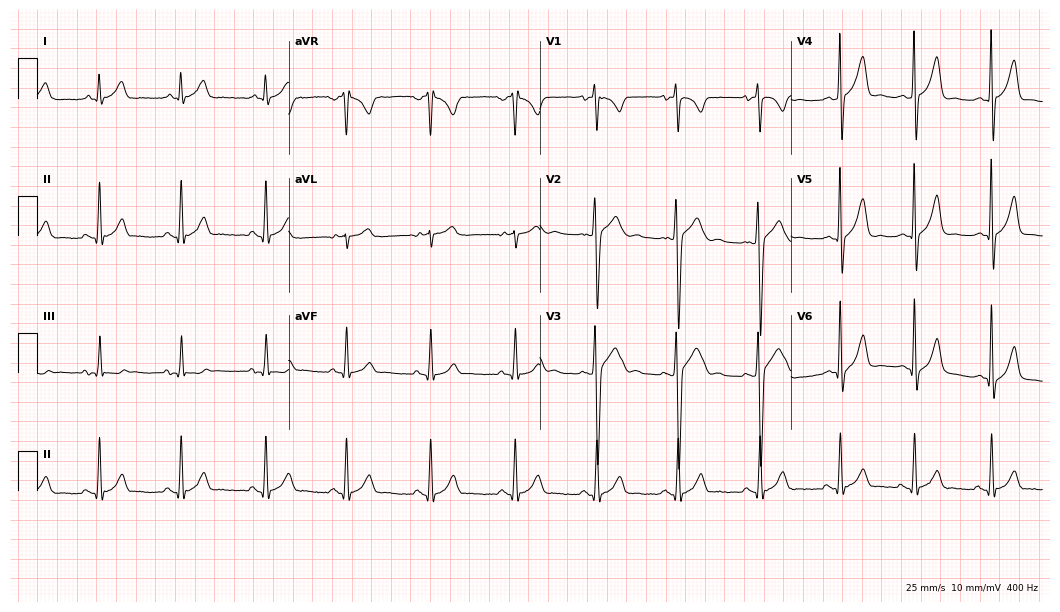
Electrocardiogram (10.2-second recording at 400 Hz), a 17-year-old male. Overall reading on record: normal ECG.